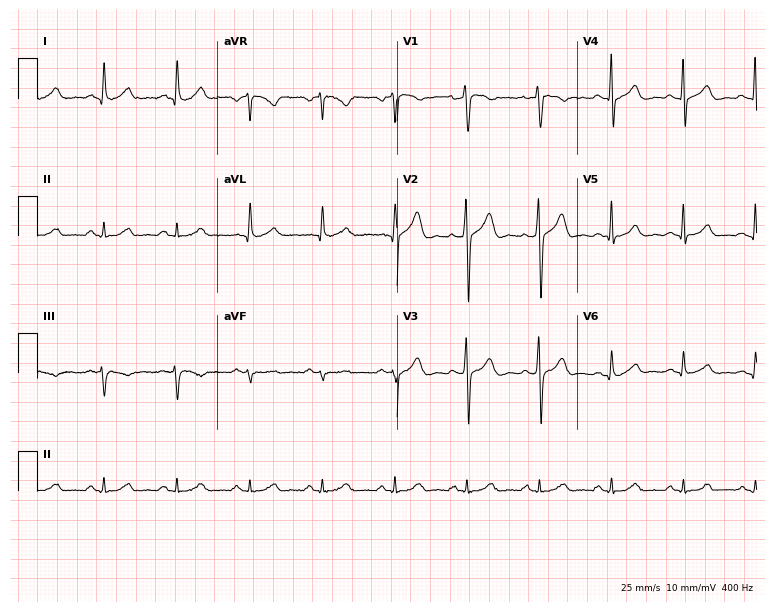
12-lead ECG (7.3-second recording at 400 Hz) from a man, 42 years old. Labelled as a normal ECG.